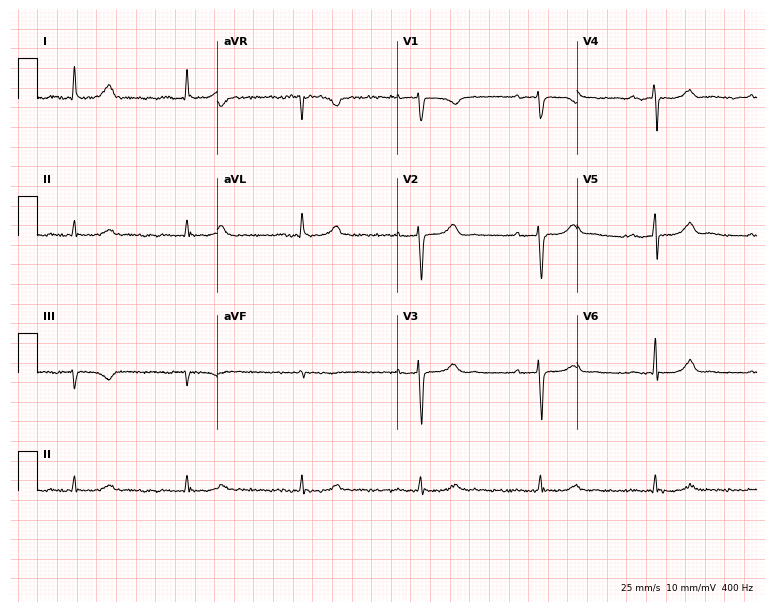
Electrocardiogram, a male, 64 years old. Interpretation includes first-degree AV block.